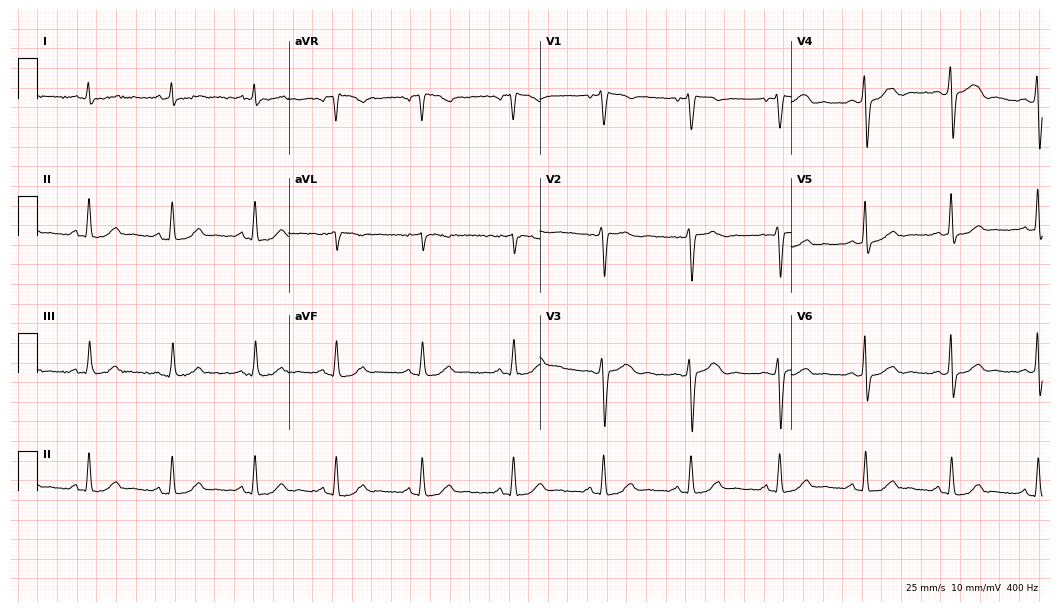
12-lead ECG from a man, 50 years old. Labelled as a normal ECG.